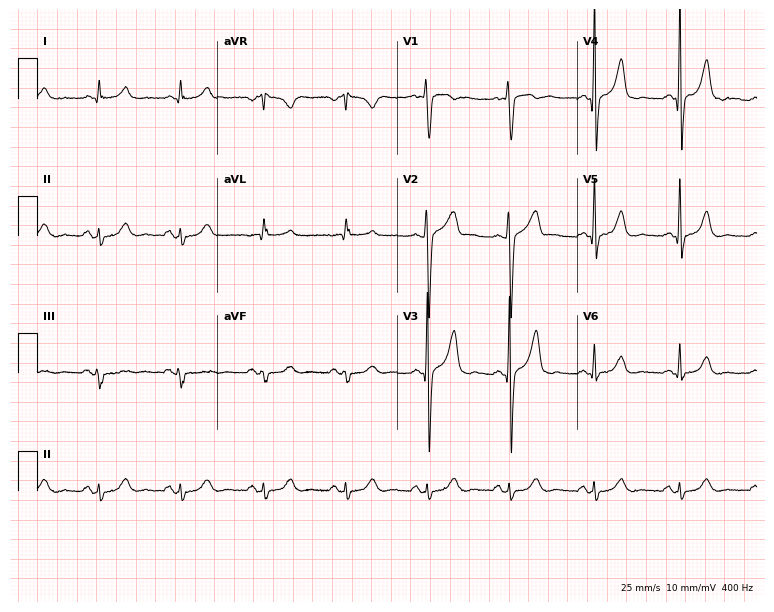
12-lead ECG (7.3-second recording at 400 Hz) from a man, 44 years old. Screened for six findings — first-degree AV block, right bundle branch block, left bundle branch block, sinus bradycardia, atrial fibrillation, sinus tachycardia — none is recorded. Other findings, if any, are not listed.